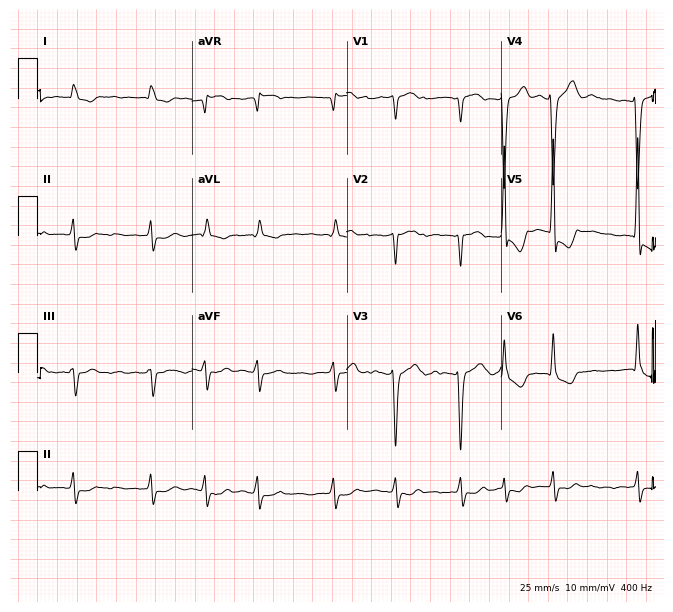
Standard 12-lead ECG recorded from a female, 82 years old. The tracing shows atrial fibrillation.